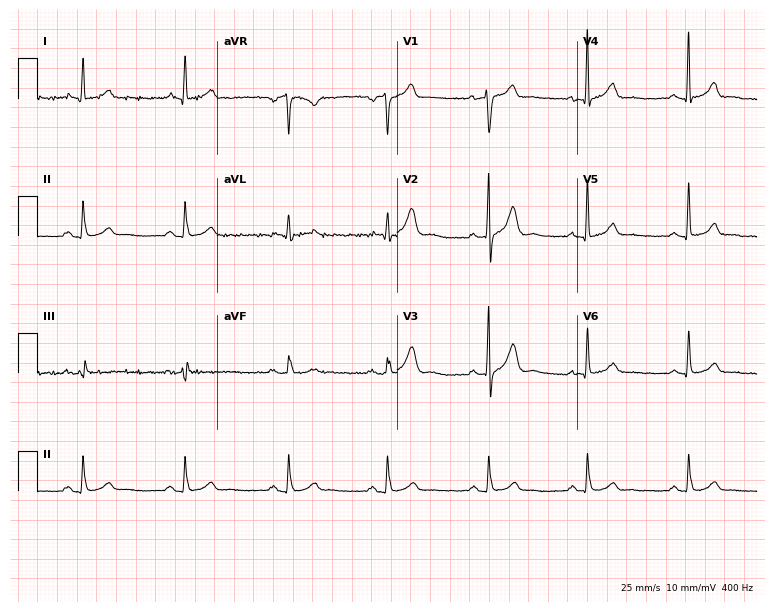
Resting 12-lead electrocardiogram. Patient: a 60-year-old man. Read as a normal ECG.